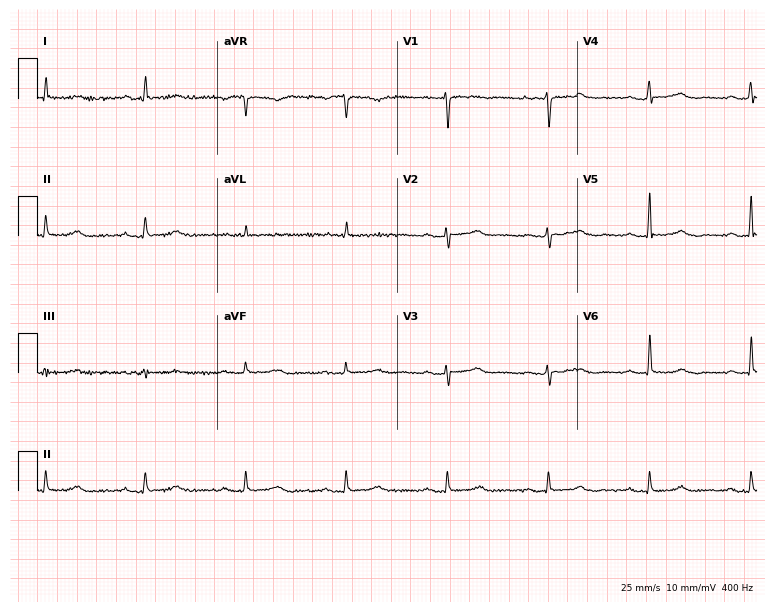
12-lead ECG from a 51-year-old female patient. Findings include first-degree AV block.